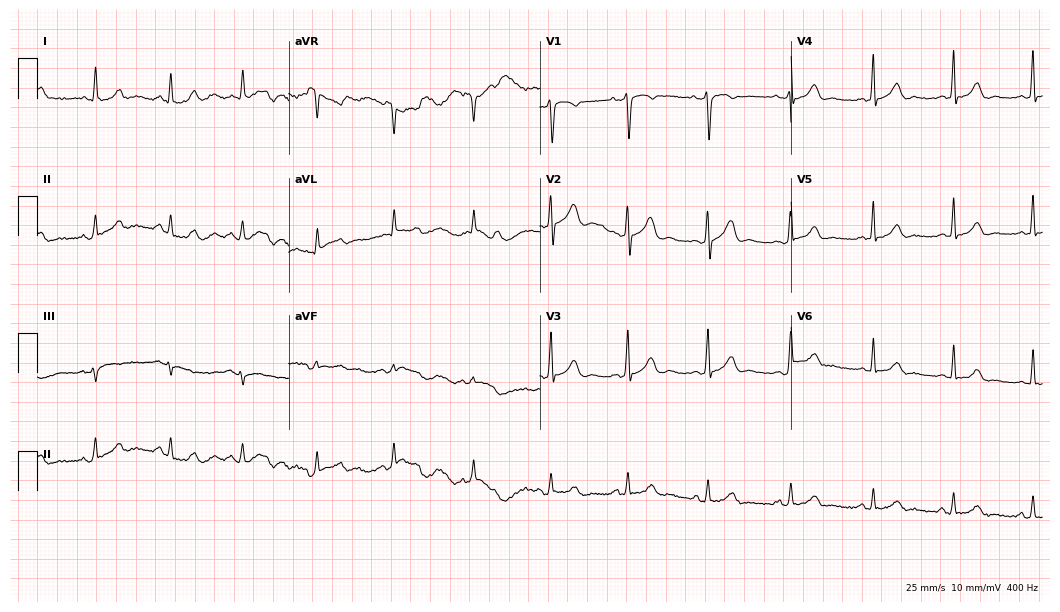
12-lead ECG (10.2-second recording at 400 Hz) from a female, 35 years old. Screened for six findings — first-degree AV block, right bundle branch block, left bundle branch block, sinus bradycardia, atrial fibrillation, sinus tachycardia — none is recorded. Other findings, if any, are not listed.